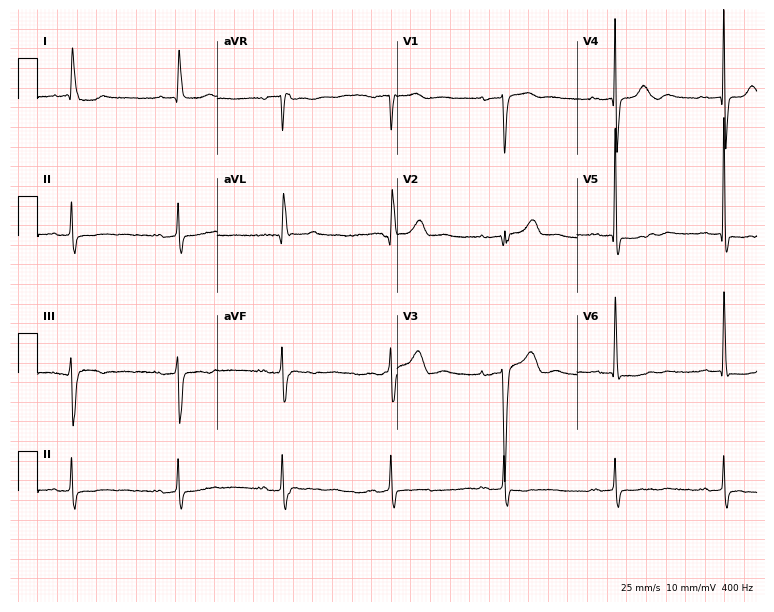
Electrocardiogram, an 83-year-old woman. Interpretation includes first-degree AV block.